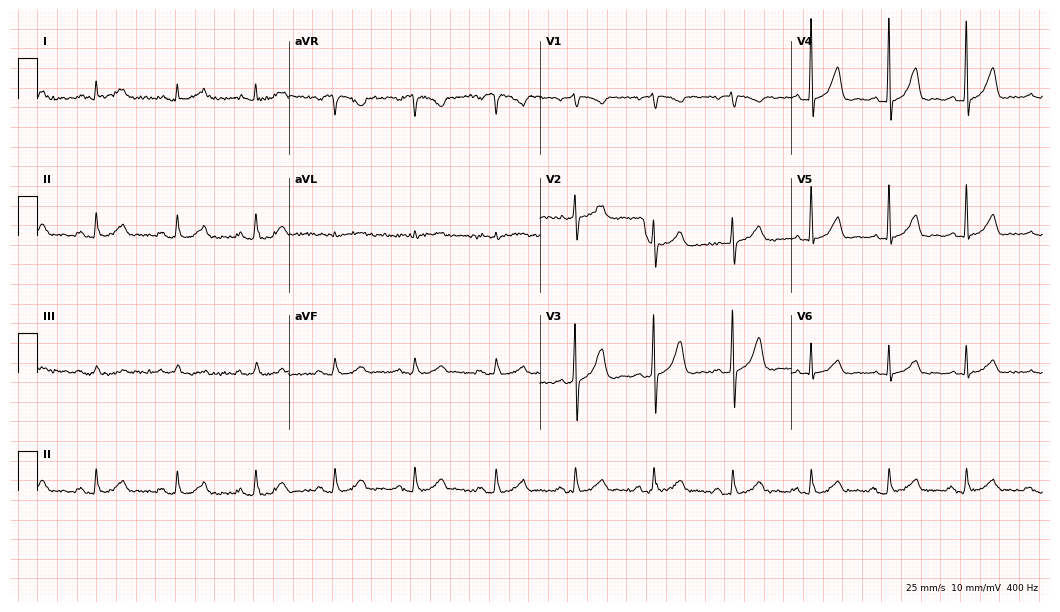
12-lead ECG (10.2-second recording at 400 Hz) from a 74-year-old female. Labelled as a normal ECG.